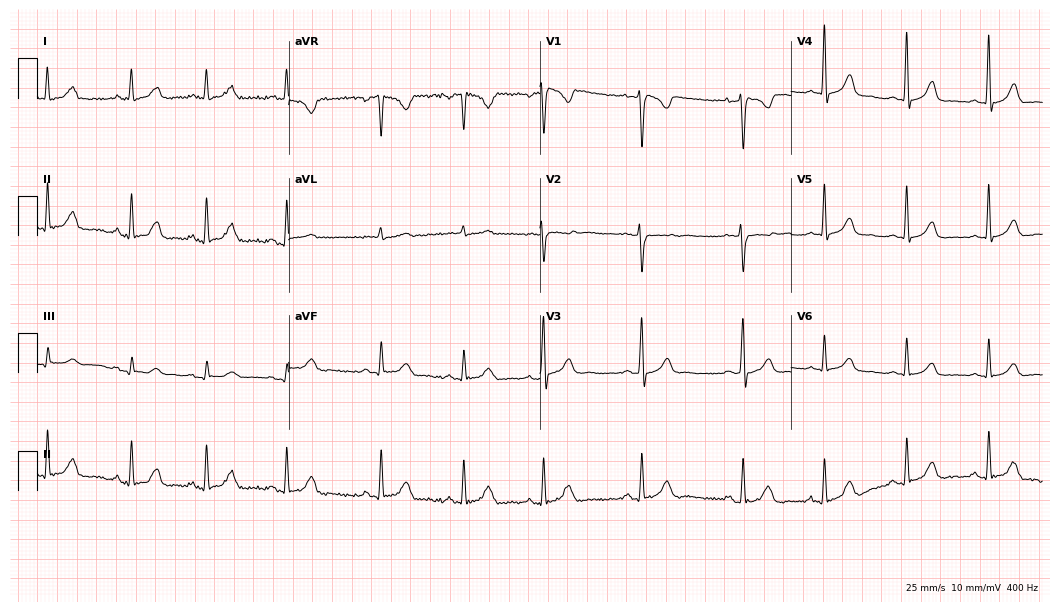
12-lead ECG (10.2-second recording at 400 Hz) from a 25-year-old female patient. Labelled as a normal ECG.